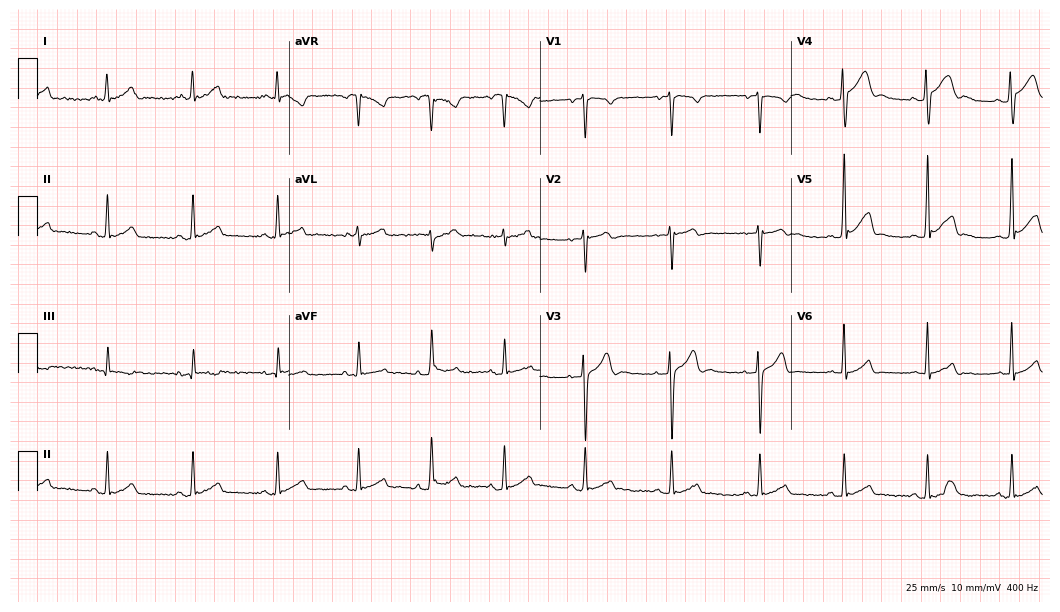
Resting 12-lead electrocardiogram (10.2-second recording at 400 Hz). Patient: a 26-year-old man. Read as a normal ECG.